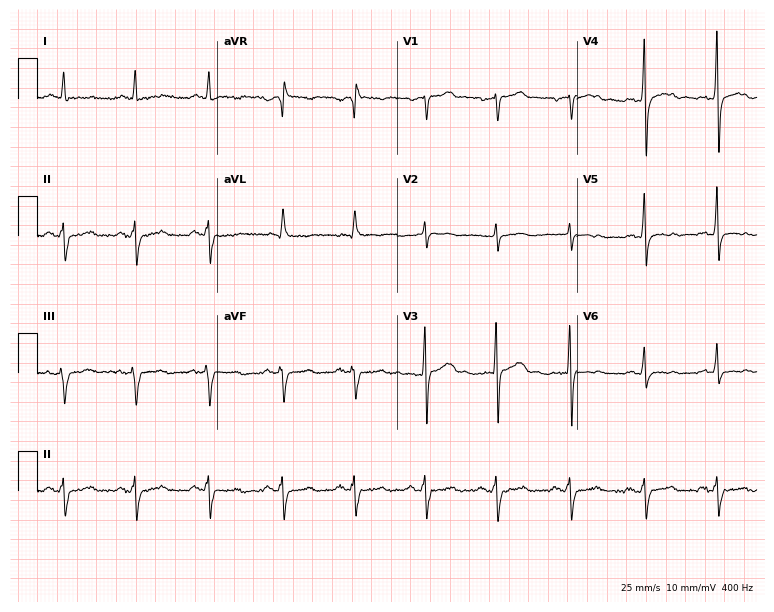
ECG (7.3-second recording at 400 Hz) — a male patient, 66 years old. Screened for six findings — first-degree AV block, right bundle branch block, left bundle branch block, sinus bradycardia, atrial fibrillation, sinus tachycardia — none is recorded. Only these six findings were labelled.